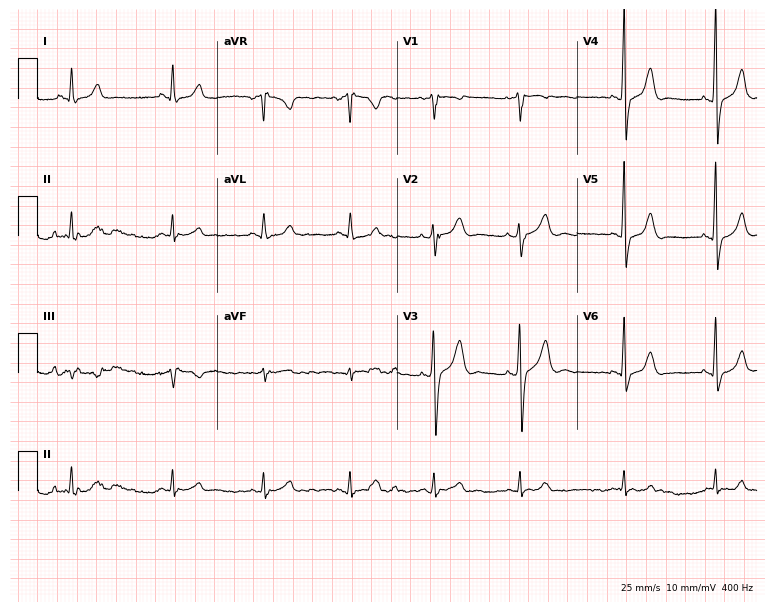
12-lead ECG from a woman, 27 years old (7.3-second recording at 400 Hz). Recorded interpretation: within normal limits.